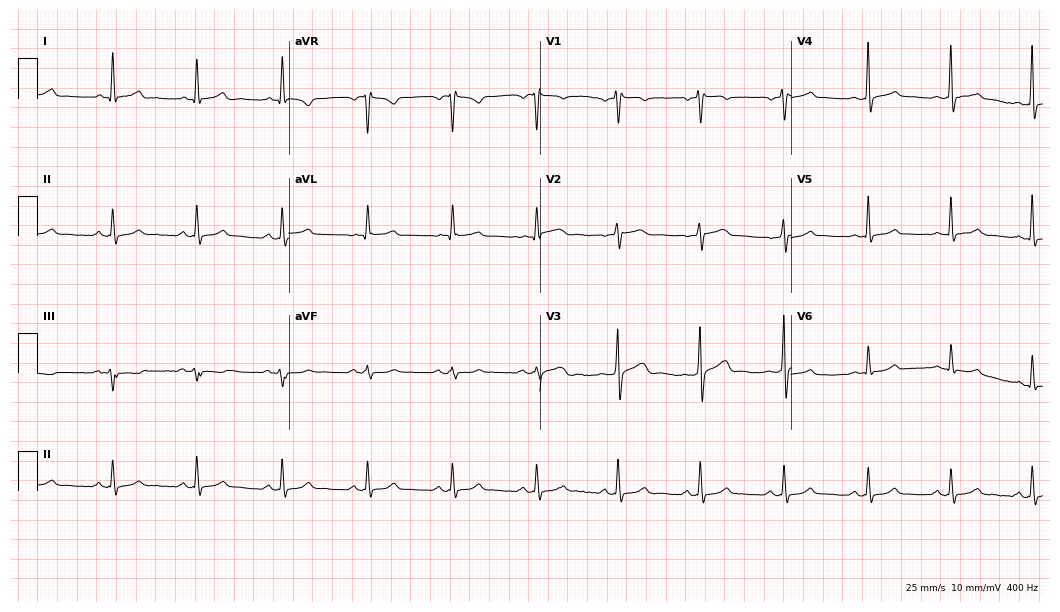
12-lead ECG from a 59-year-old male patient (10.2-second recording at 400 Hz). Recorded interpretation: within normal limits.